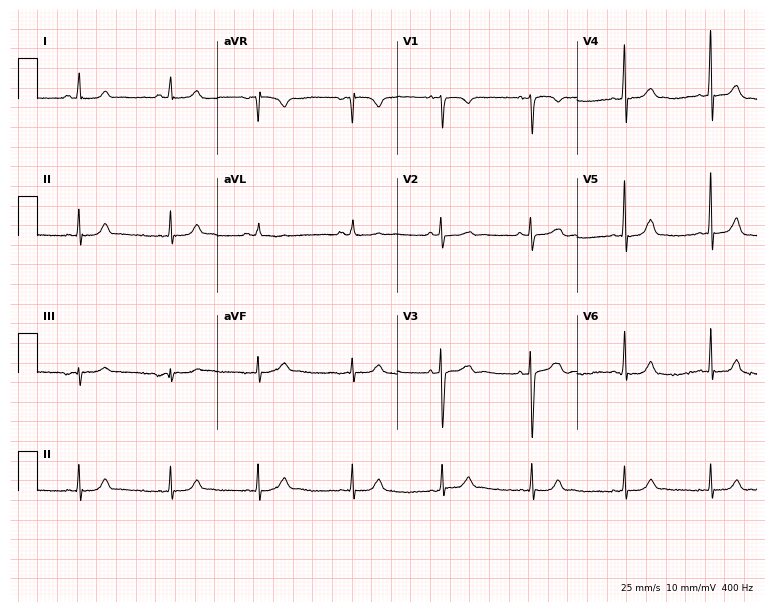
Electrocardiogram (7.3-second recording at 400 Hz), a 22-year-old female. Of the six screened findings (first-degree AV block, right bundle branch block, left bundle branch block, sinus bradycardia, atrial fibrillation, sinus tachycardia), none is recorded.